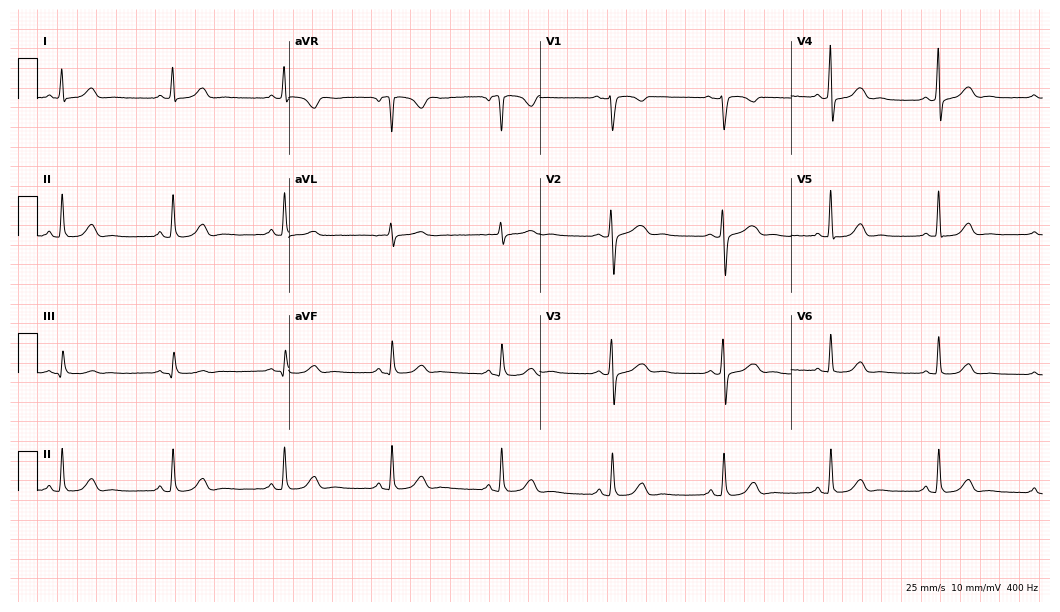
12-lead ECG from a 53-year-old female patient (10.2-second recording at 400 Hz). Recorded interpretation: within normal limits.